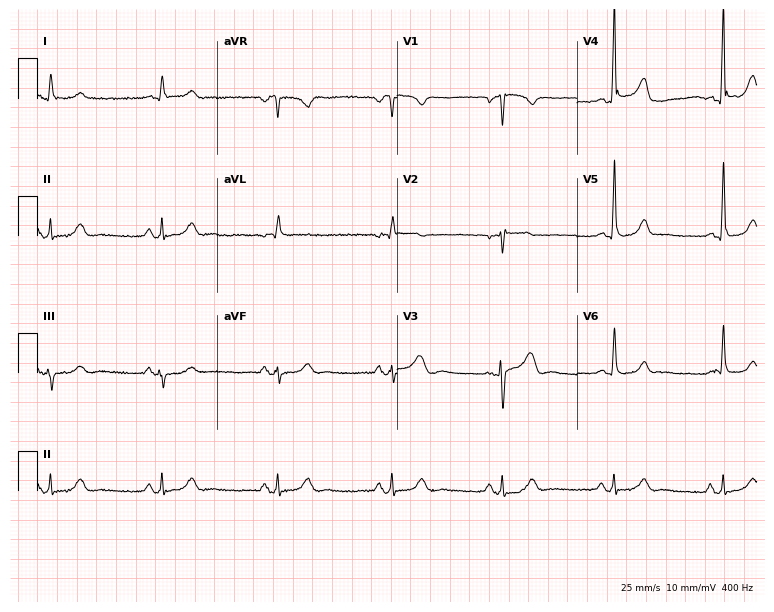
ECG (7.3-second recording at 400 Hz) — a 72-year-old female patient. Labelled as a normal ECG.